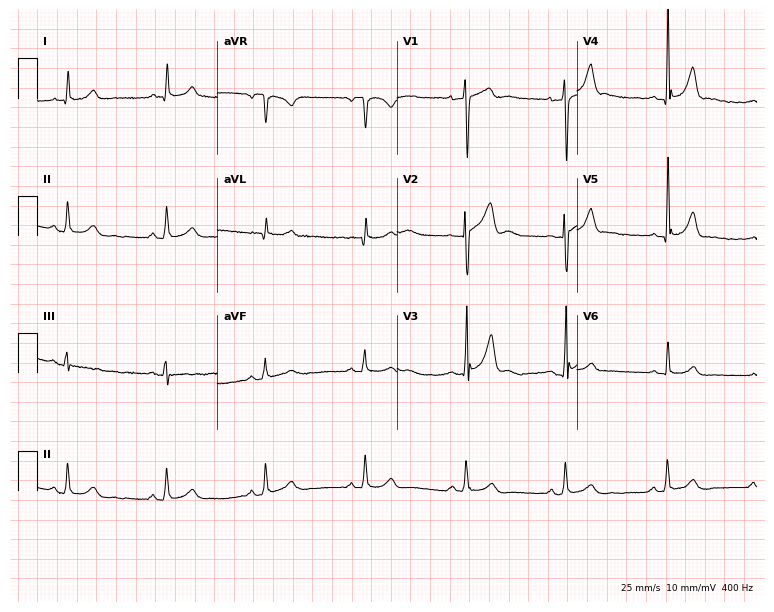
12-lead ECG from a 28-year-old male (7.3-second recording at 400 Hz). No first-degree AV block, right bundle branch block (RBBB), left bundle branch block (LBBB), sinus bradycardia, atrial fibrillation (AF) or sinus tachycardia recorded for this tracing. Only these six findings were labelled.